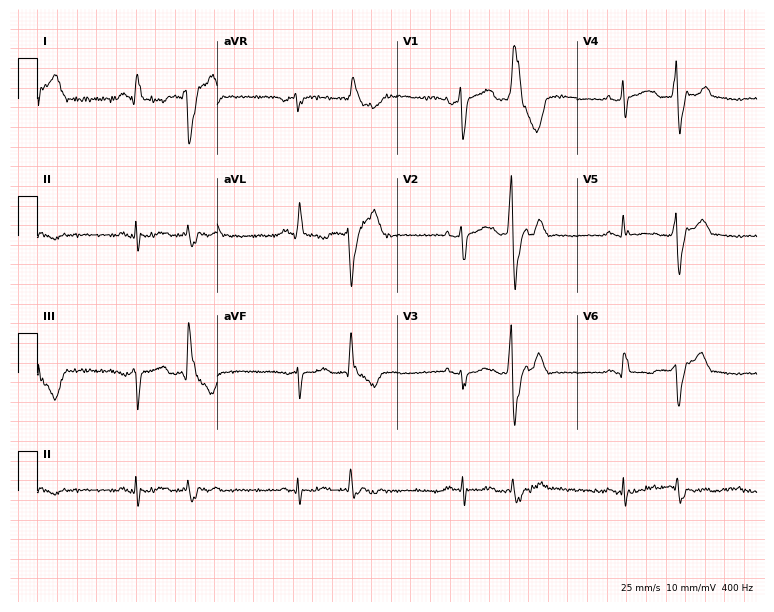
12-lead ECG (7.3-second recording at 400 Hz) from a 47-year-old male. Screened for six findings — first-degree AV block, right bundle branch block, left bundle branch block, sinus bradycardia, atrial fibrillation, sinus tachycardia — none is recorded. Other findings, if any, are not listed.